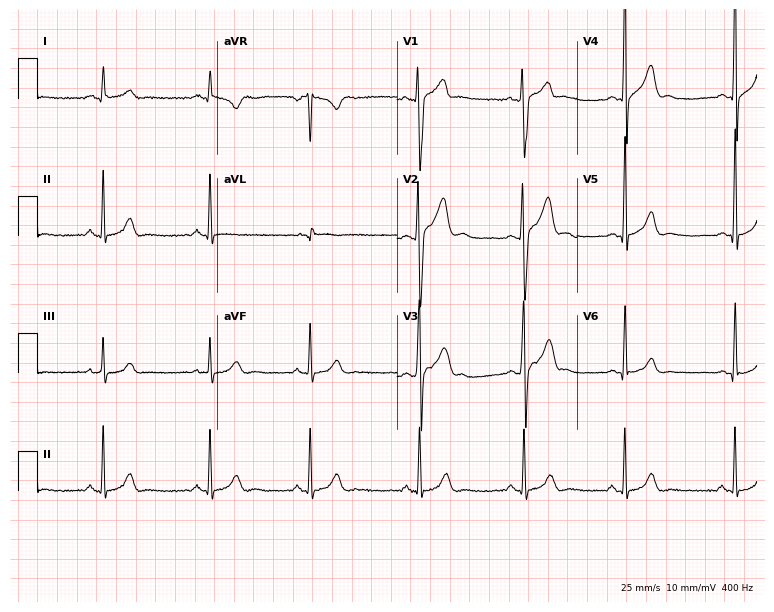
Resting 12-lead electrocardiogram. Patient: a 20-year-old man. None of these six findings is recorded: first-degree AV block, right bundle branch block (RBBB), left bundle branch block (LBBB), sinus bradycardia, atrial fibrillation (AF), sinus tachycardia. Only these six findings were labelled.